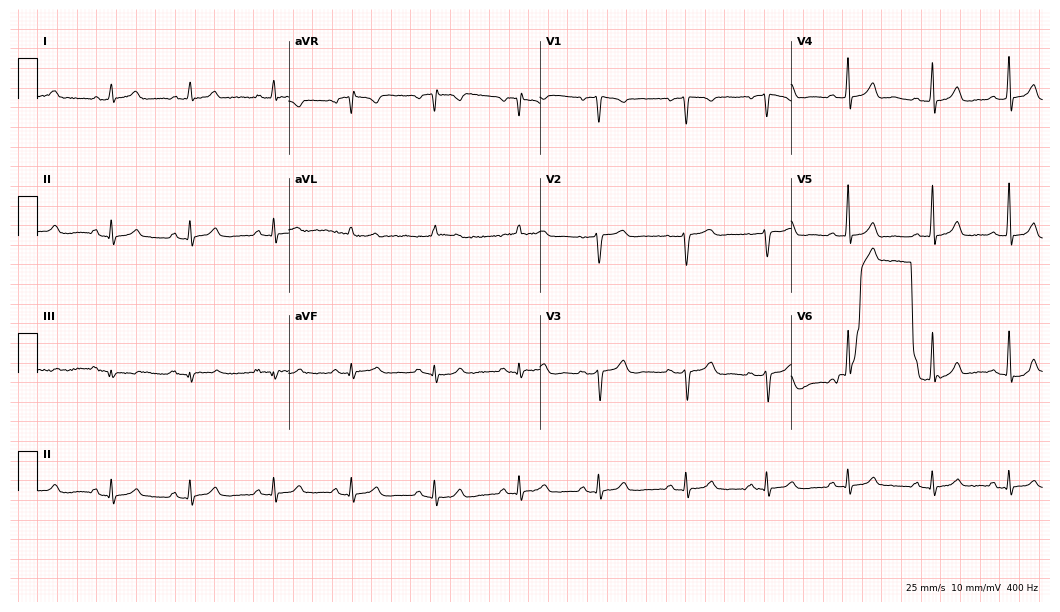
Electrocardiogram, a 39-year-old female. Overall reading on record: normal ECG.